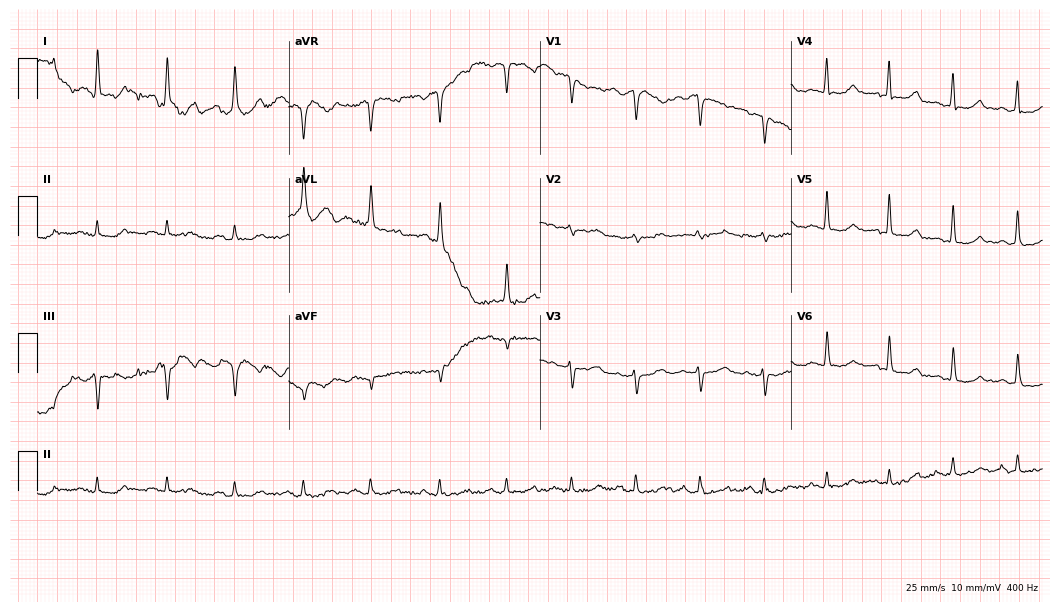
Electrocardiogram, an 83-year-old female. Of the six screened findings (first-degree AV block, right bundle branch block, left bundle branch block, sinus bradycardia, atrial fibrillation, sinus tachycardia), none is recorded.